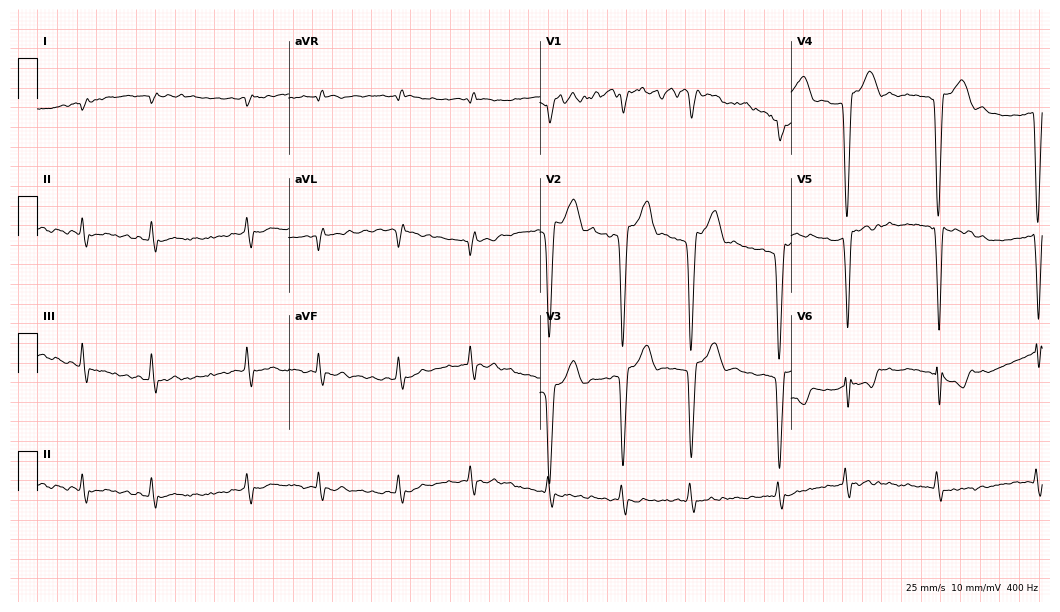
12-lead ECG (10.2-second recording at 400 Hz) from a woman, 86 years old. Screened for six findings — first-degree AV block, right bundle branch block, left bundle branch block, sinus bradycardia, atrial fibrillation, sinus tachycardia — none is recorded. Findings outside these six are not listed.